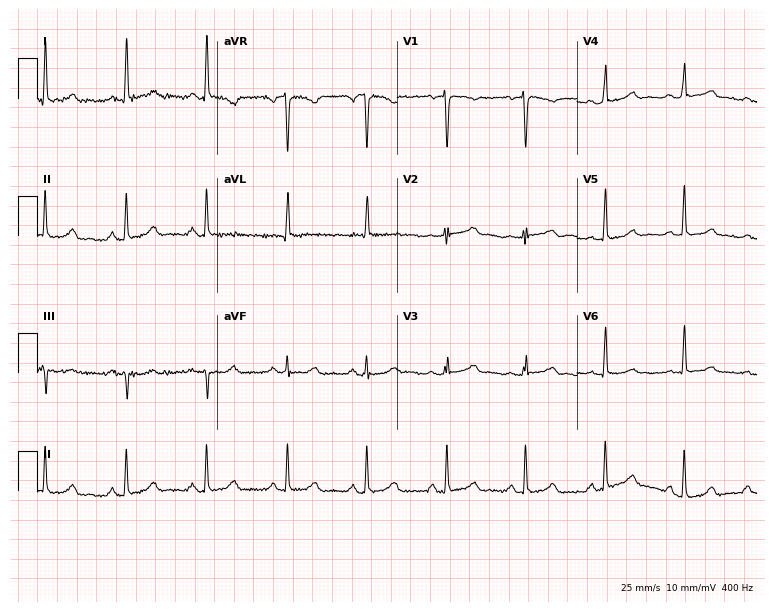
Standard 12-lead ECG recorded from a female patient, 54 years old (7.3-second recording at 400 Hz). None of these six findings is recorded: first-degree AV block, right bundle branch block (RBBB), left bundle branch block (LBBB), sinus bradycardia, atrial fibrillation (AF), sinus tachycardia.